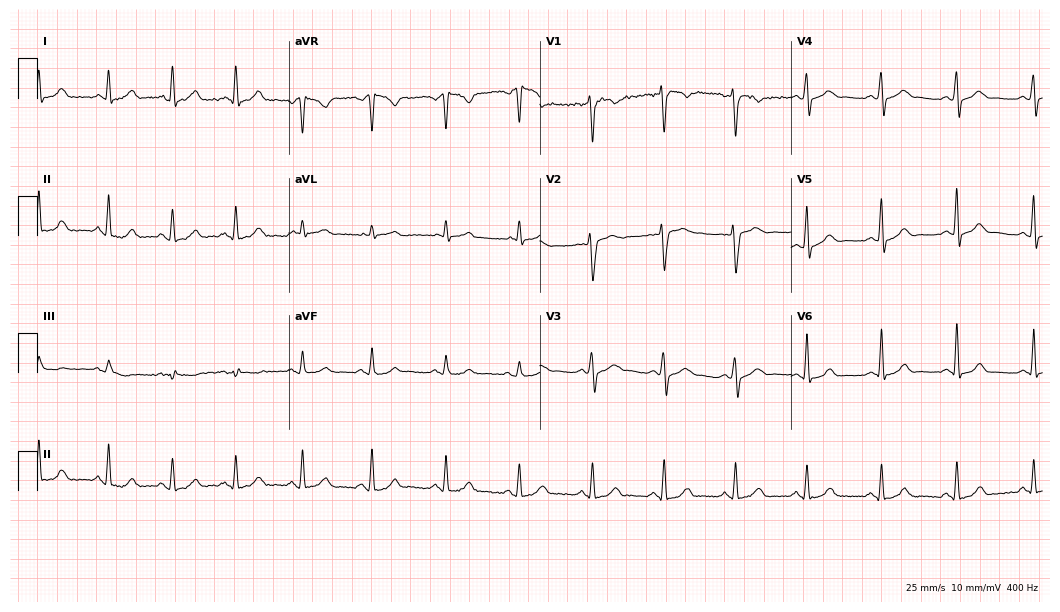
12-lead ECG from a male, 34 years old. Labelled as a normal ECG.